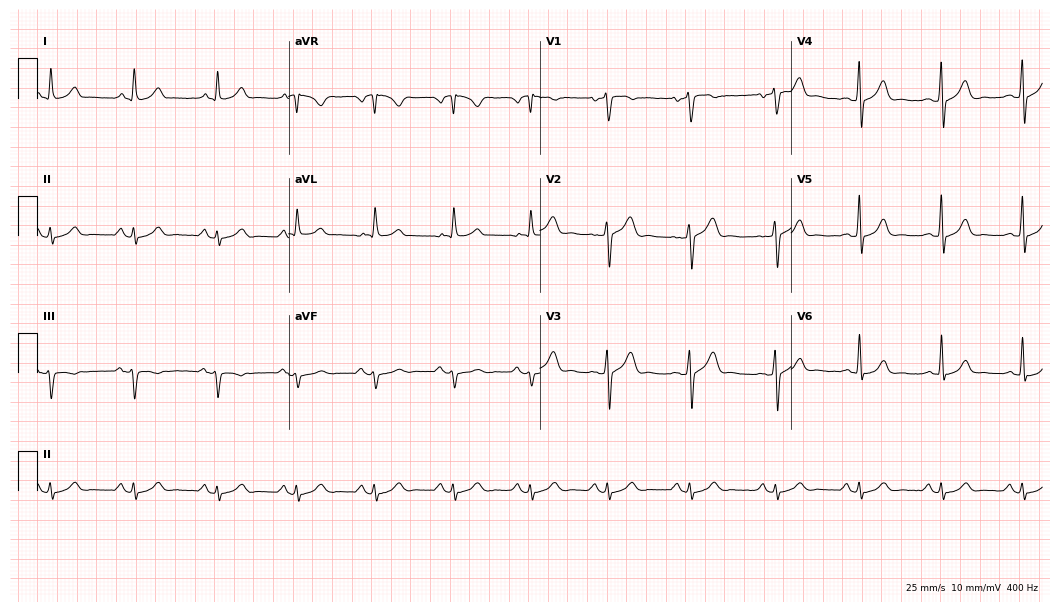
ECG — a 39-year-old male patient. Labelled as a normal ECG.